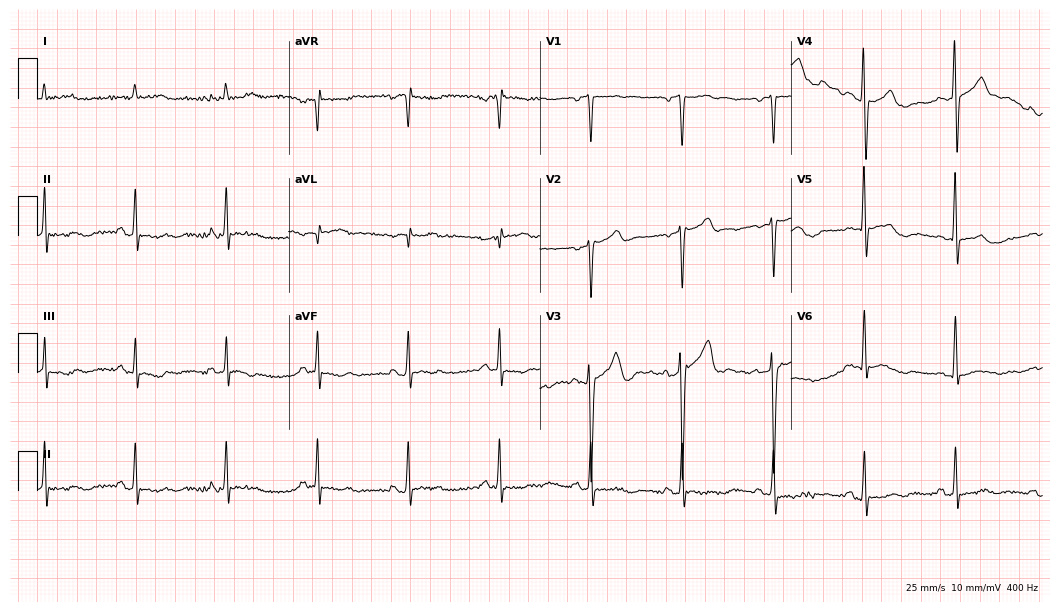
Electrocardiogram (10.2-second recording at 400 Hz), a man, 74 years old. Of the six screened findings (first-degree AV block, right bundle branch block, left bundle branch block, sinus bradycardia, atrial fibrillation, sinus tachycardia), none is recorded.